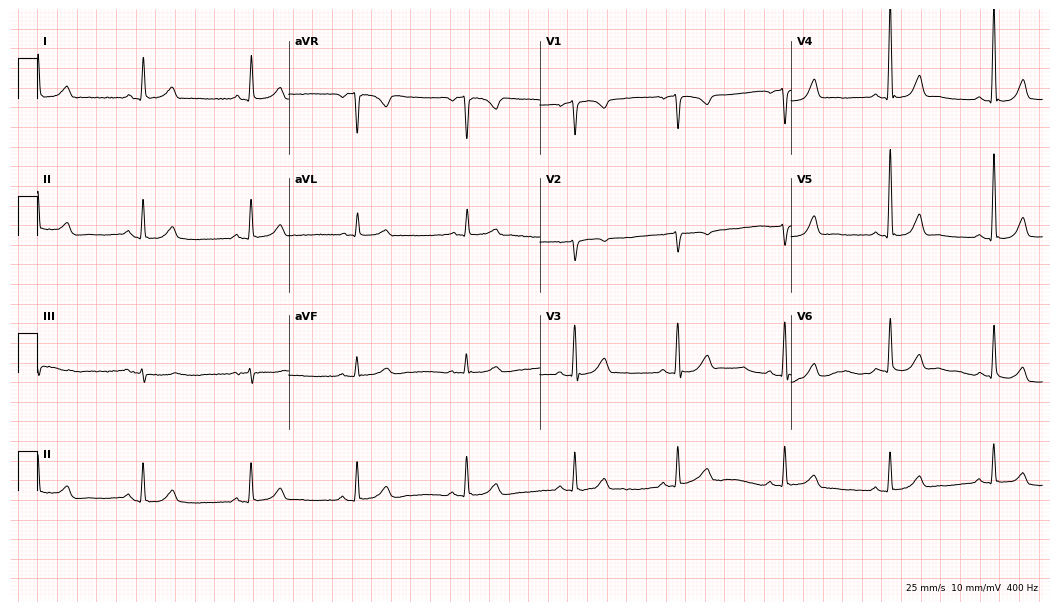
Standard 12-lead ECG recorded from a 67-year-old female. Read as a normal ECG.